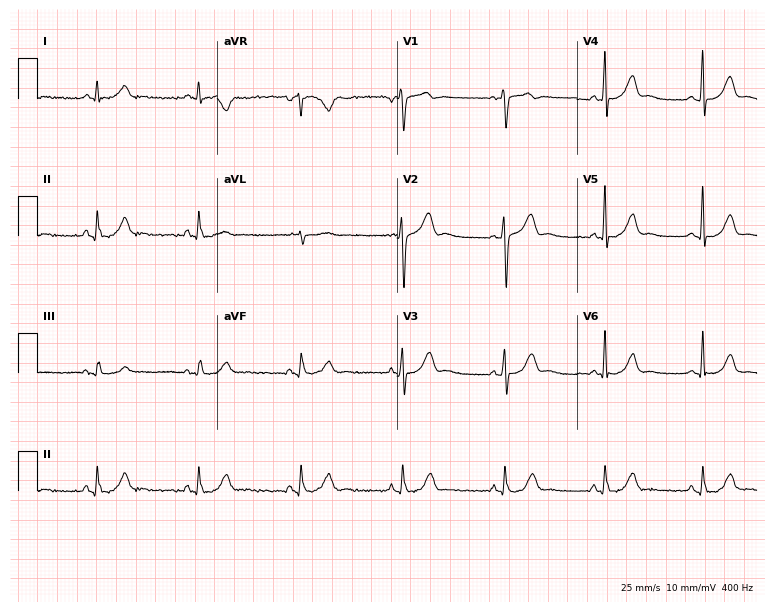
12-lead ECG from a man, 60 years old. Labelled as a normal ECG.